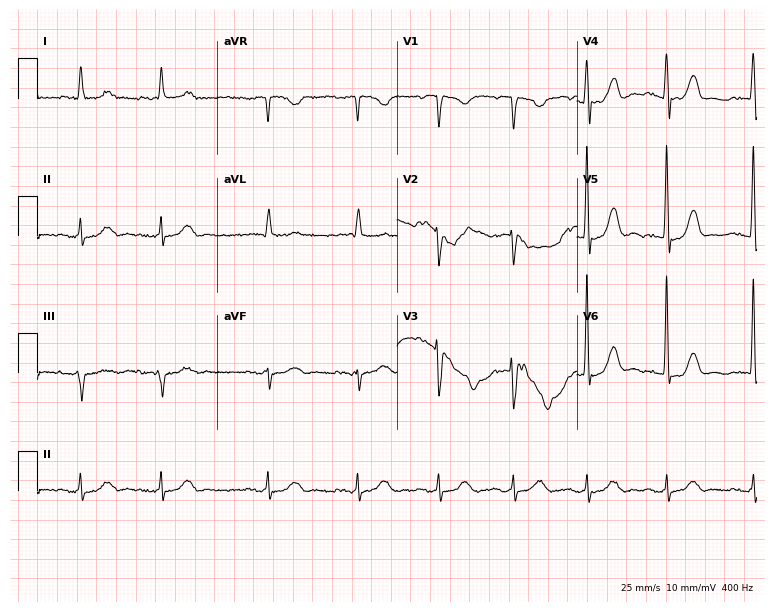
12-lead ECG from a man, 77 years old. Recorded interpretation: within normal limits.